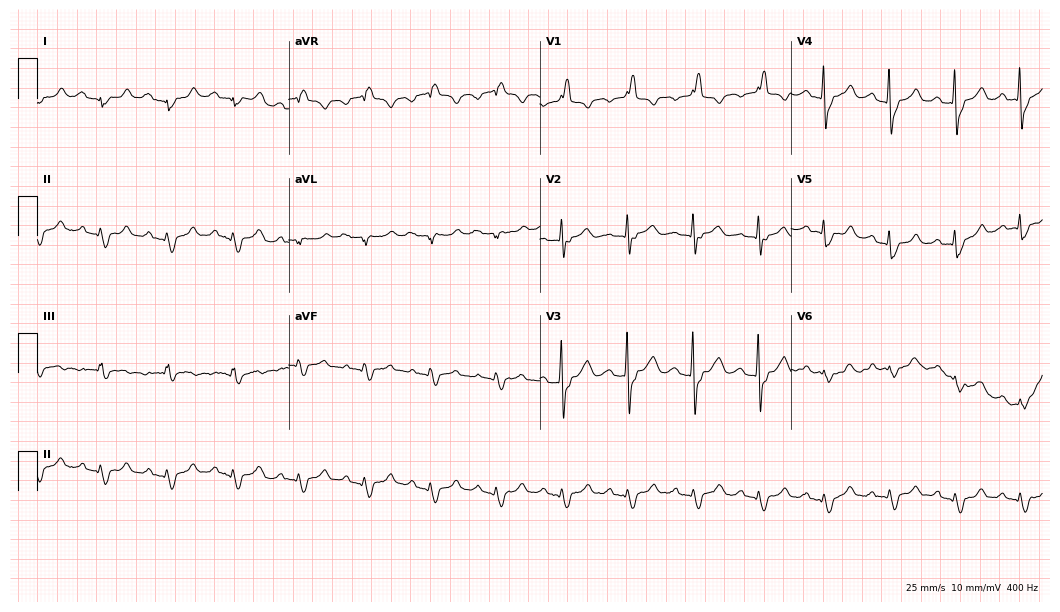
ECG (10.2-second recording at 400 Hz) — a male, 65 years old. Screened for six findings — first-degree AV block, right bundle branch block, left bundle branch block, sinus bradycardia, atrial fibrillation, sinus tachycardia — none is recorded.